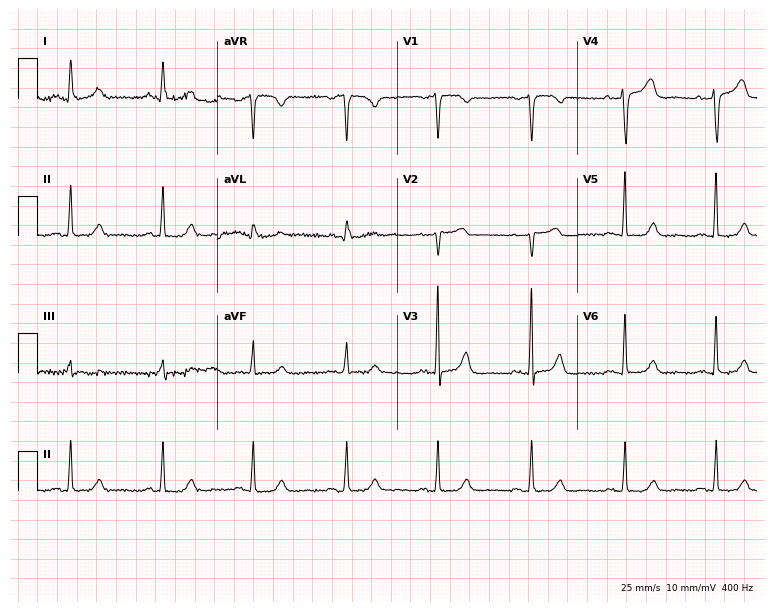
12-lead ECG from a woman, 55 years old (7.3-second recording at 400 Hz). No first-degree AV block, right bundle branch block (RBBB), left bundle branch block (LBBB), sinus bradycardia, atrial fibrillation (AF) or sinus tachycardia recorded for this tracing. Findings outside these six are not listed.